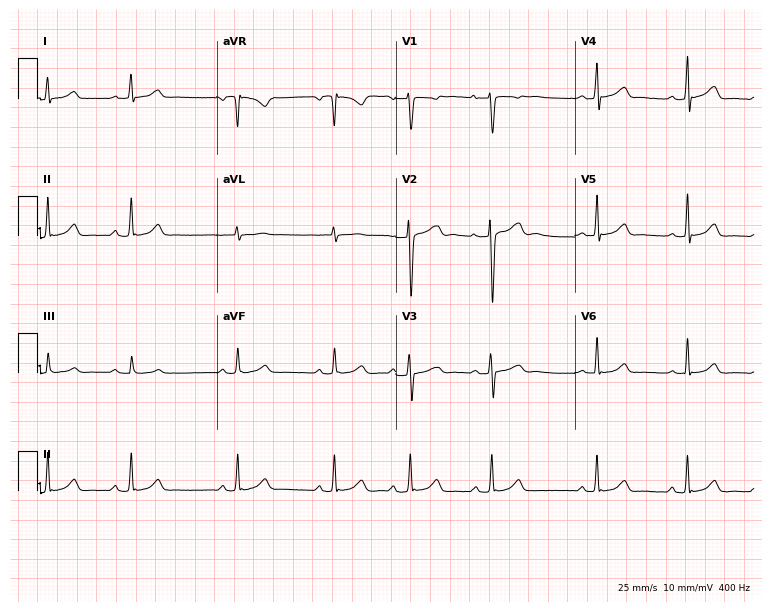
12-lead ECG (7.3-second recording at 400 Hz) from a 17-year-old female patient. Labelled as a normal ECG.